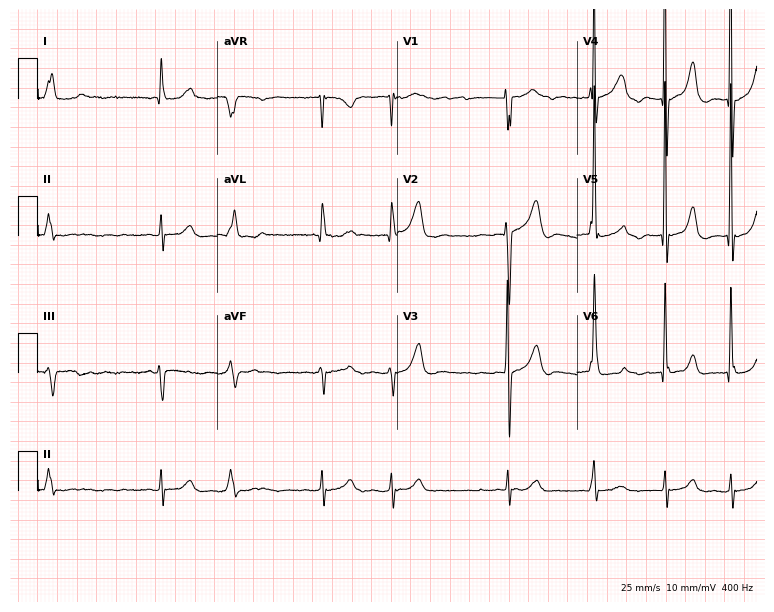
12-lead ECG from a 79-year-old man. Shows atrial fibrillation (AF).